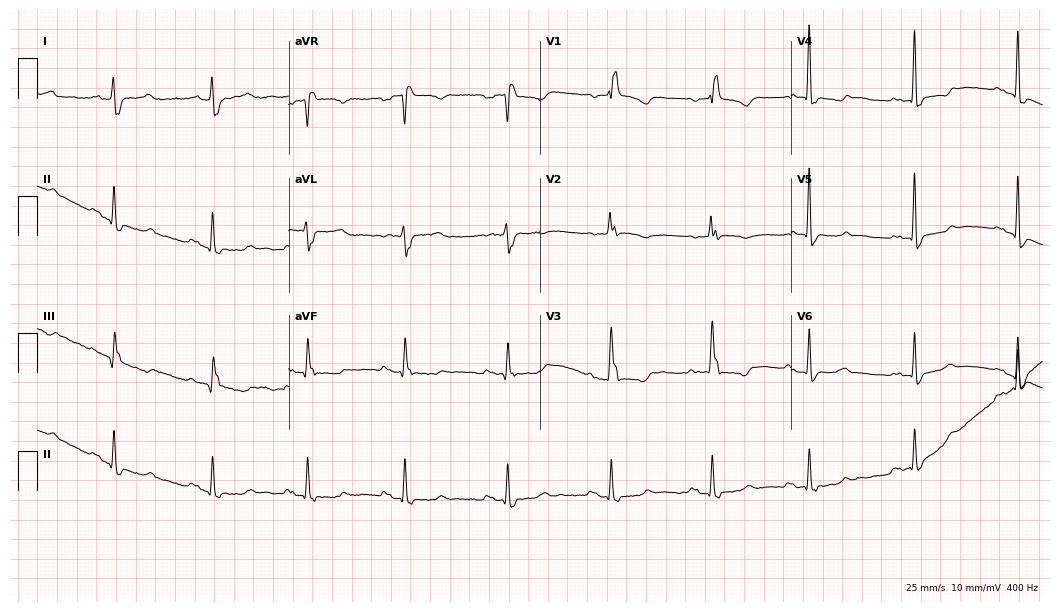
12-lead ECG from a 73-year-old woman. Findings include right bundle branch block.